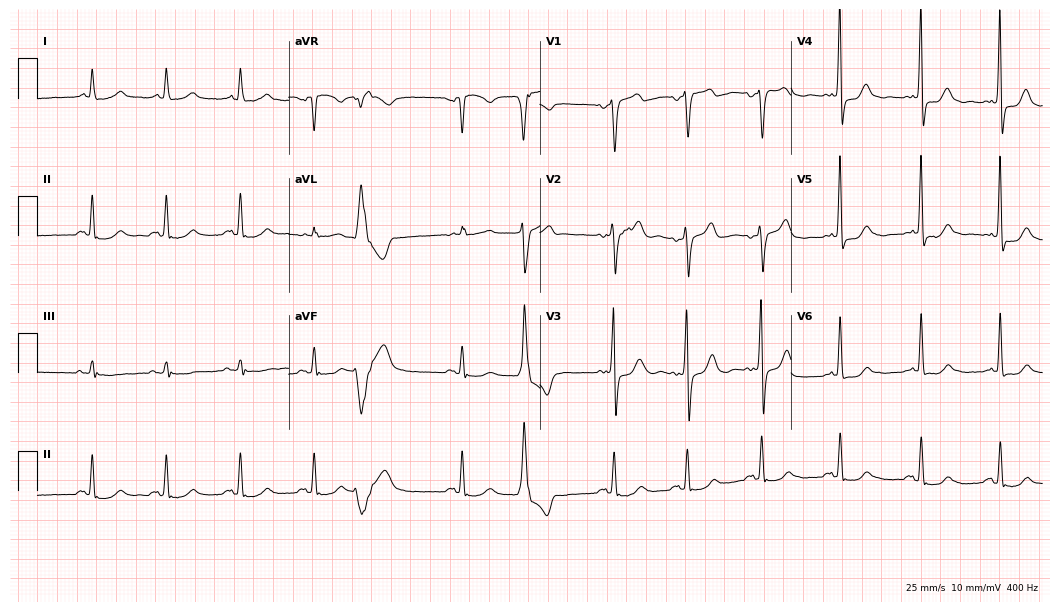
Standard 12-lead ECG recorded from an 81-year-old male patient. None of these six findings is recorded: first-degree AV block, right bundle branch block, left bundle branch block, sinus bradycardia, atrial fibrillation, sinus tachycardia.